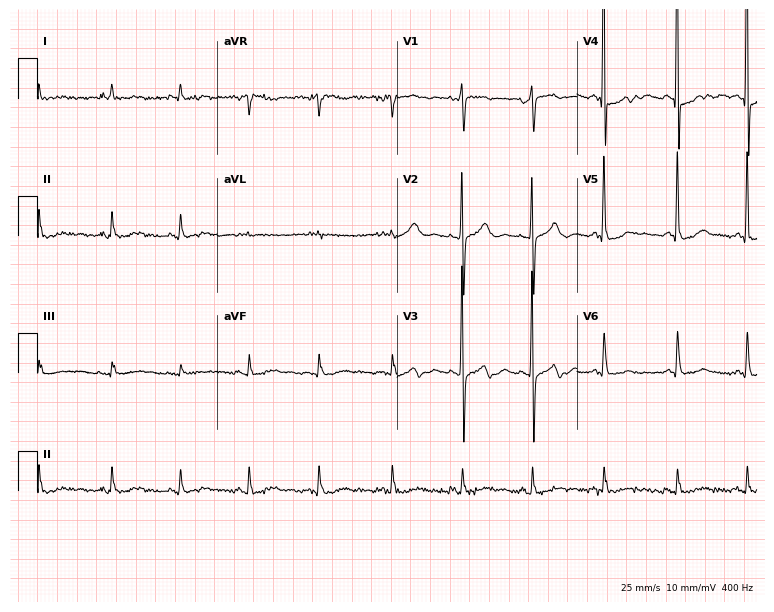
ECG (7.3-second recording at 400 Hz) — a woman, 69 years old. Screened for six findings — first-degree AV block, right bundle branch block (RBBB), left bundle branch block (LBBB), sinus bradycardia, atrial fibrillation (AF), sinus tachycardia — none is recorded.